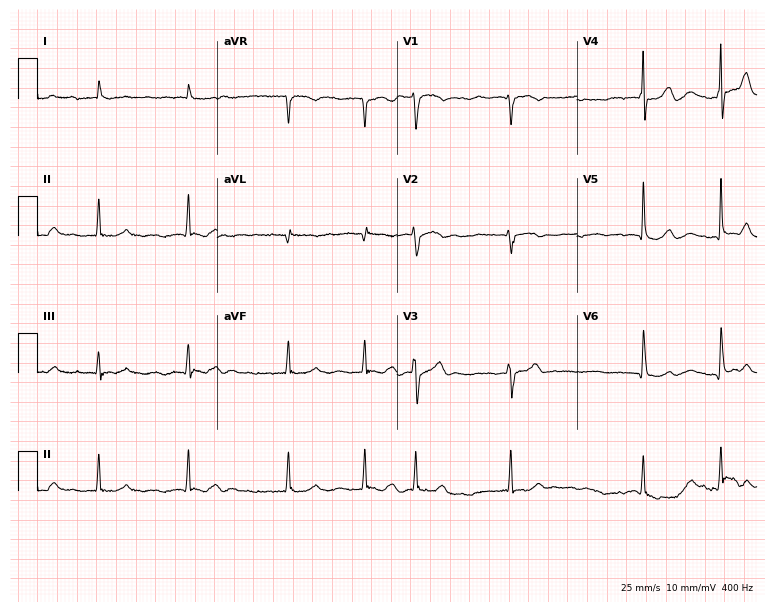
12-lead ECG from a male, 83 years old (7.3-second recording at 400 Hz). Shows atrial fibrillation (AF).